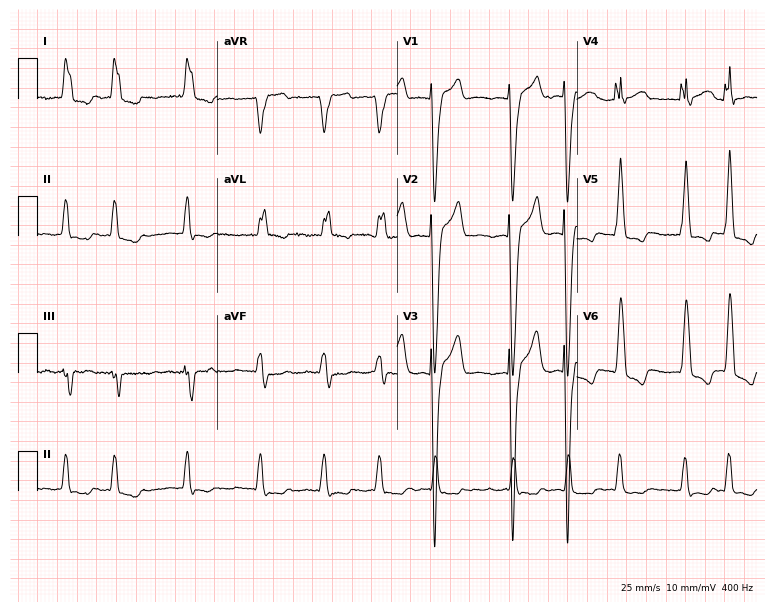
Standard 12-lead ECG recorded from a woman, 50 years old. The tracing shows left bundle branch block, atrial fibrillation.